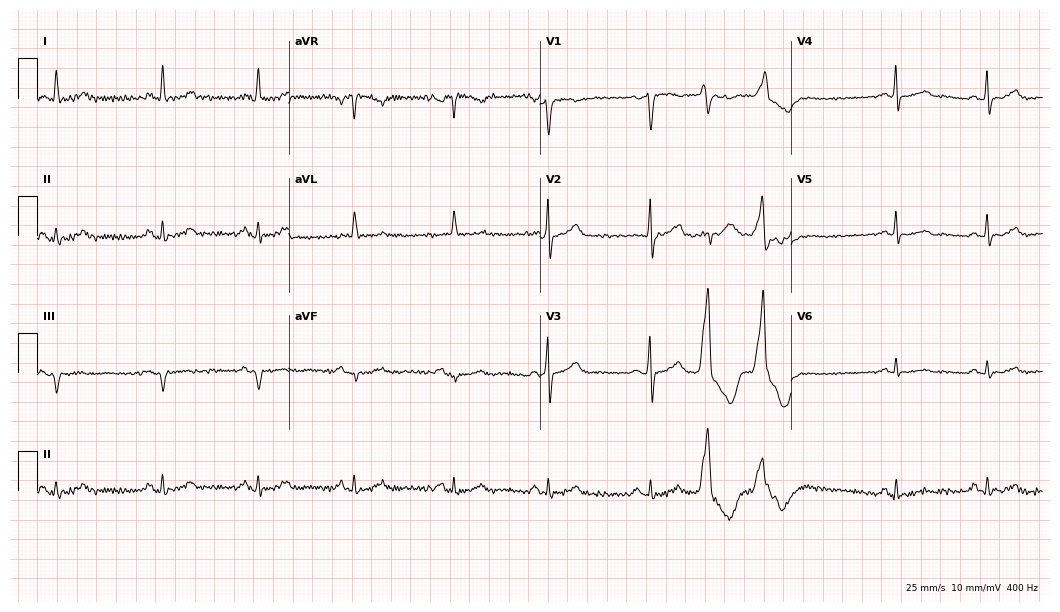
12-lead ECG from a 39-year-old female patient (10.2-second recording at 400 Hz). Recorded interpretation: within normal limits.